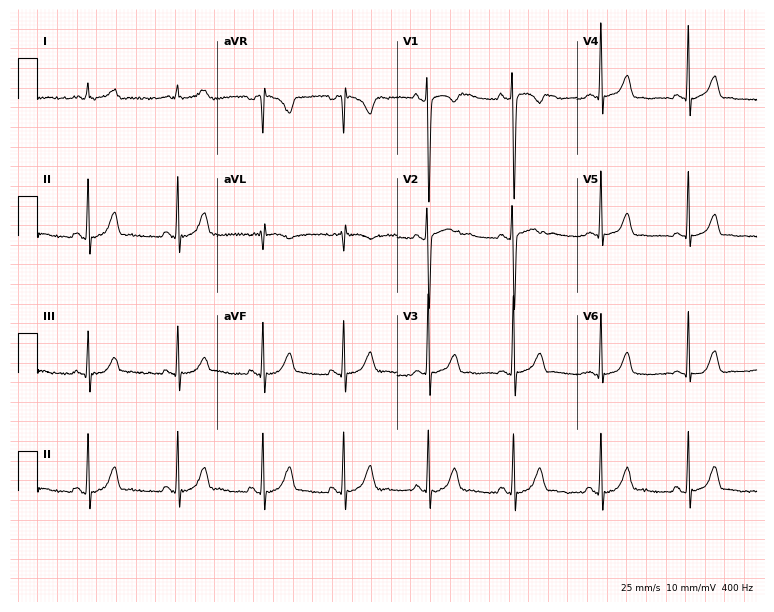
Electrocardiogram (7.3-second recording at 400 Hz), a female, 26 years old. Of the six screened findings (first-degree AV block, right bundle branch block, left bundle branch block, sinus bradycardia, atrial fibrillation, sinus tachycardia), none is recorded.